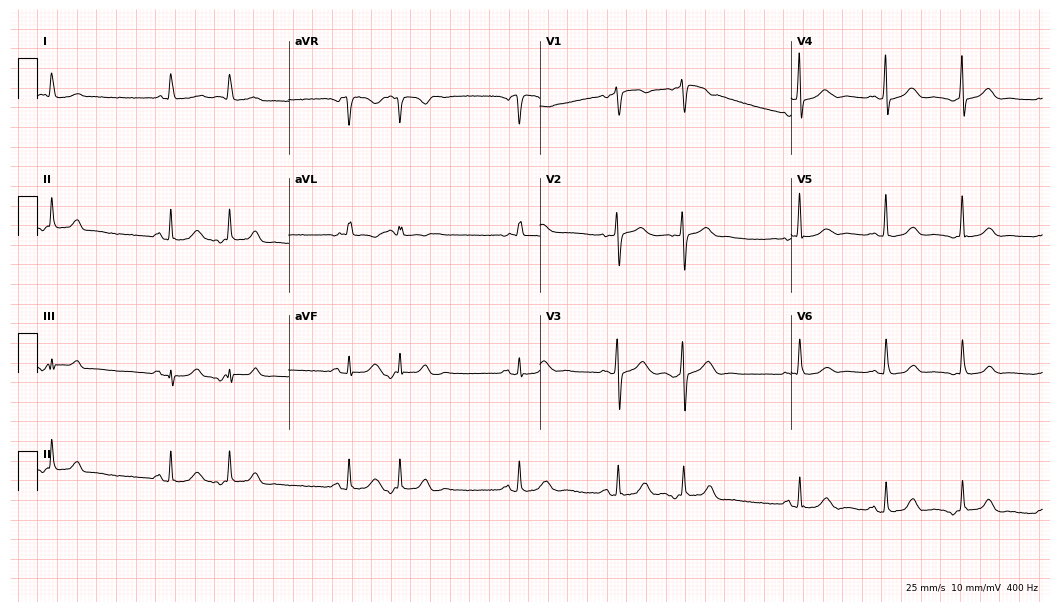
Electrocardiogram, a female patient, 75 years old. Of the six screened findings (first-degree AV block, right bundle branch block, left bundle branch block, sinus bradycardia, atrial fibrillation, sinus tachycardia), none is recorded. Findings outside these six are not listed.